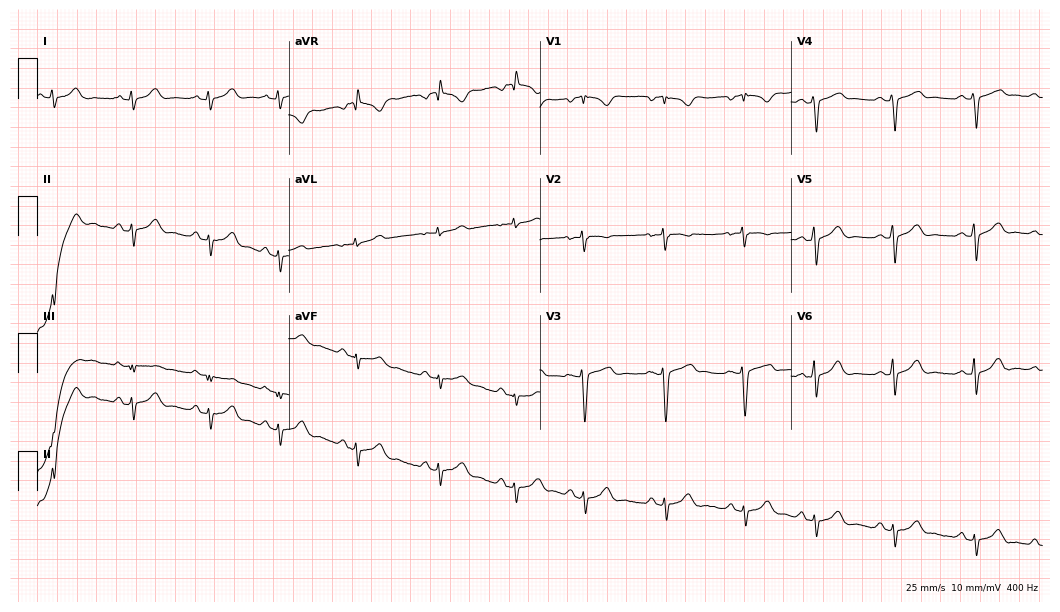
Standard 12-lead ECG recorded from an 18-year-old female patient (10.2-second recording at 400 Hz). None of these six findings is recorded: first-degree AV block, right bundle branch block, left bundle branch block, sinus bradycardia, atrial fibrillation, sinus tachycardia. Only these six findings were labelled.